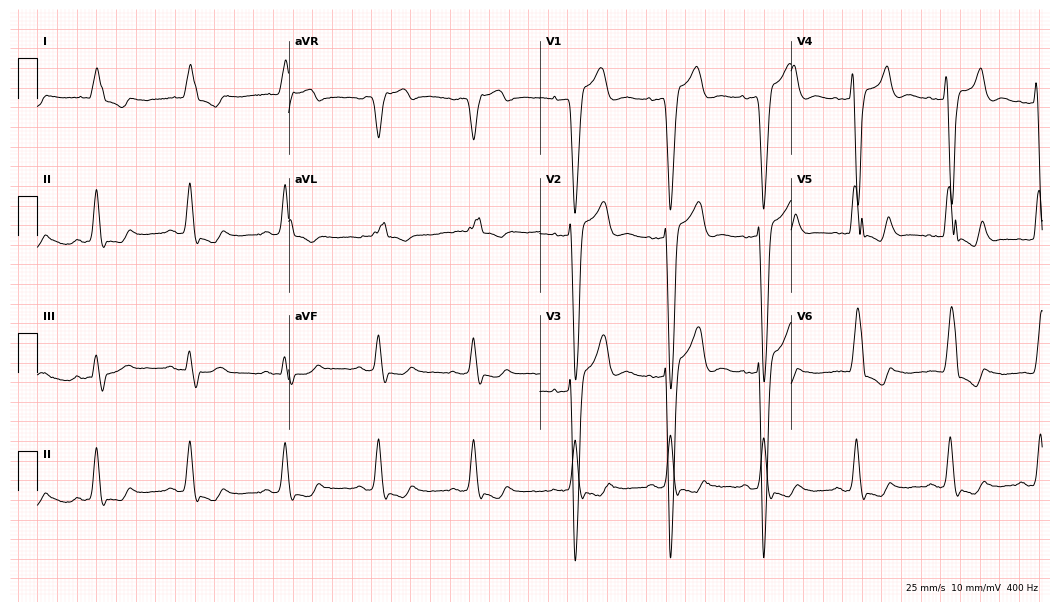
Standard 12-lead ECG recorded from an 81-year-old male patient (10.2-second recording at 400 Hz). The tracing shows left bundle branch block (LBBB).